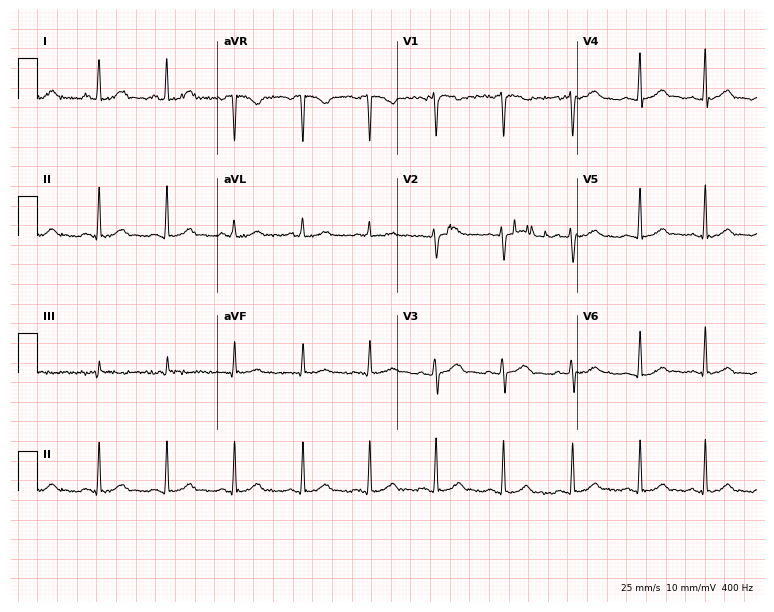
12-lead ECG from a female, 28 years old. Recorded interpretation: within normal limits.